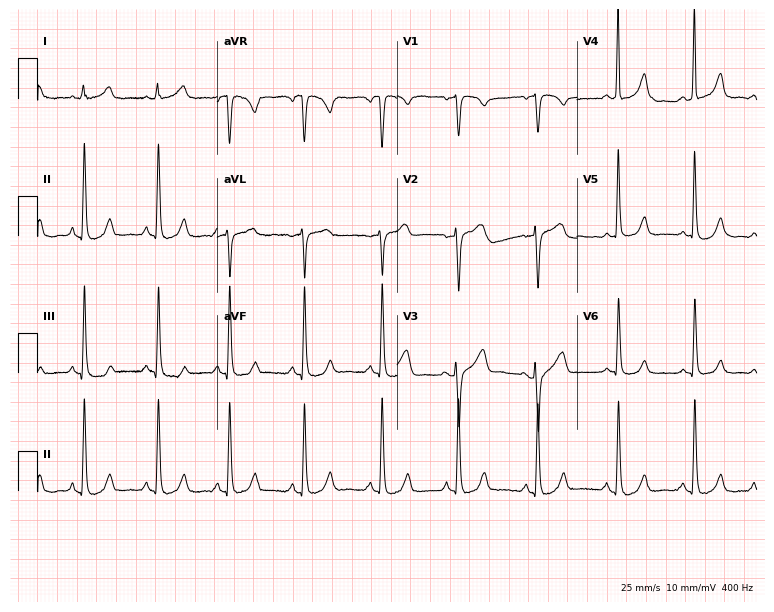
Standard 12-lead ECG recorded from a 53-year-old woman. Read as a normal ECG.